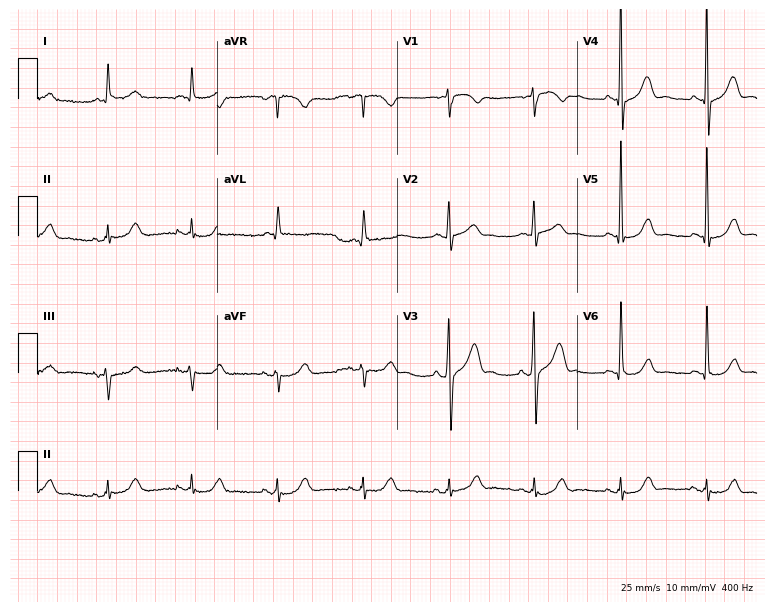
Electrocardiogram, an 80-year-old man. Overall reading on record: normal ECG.